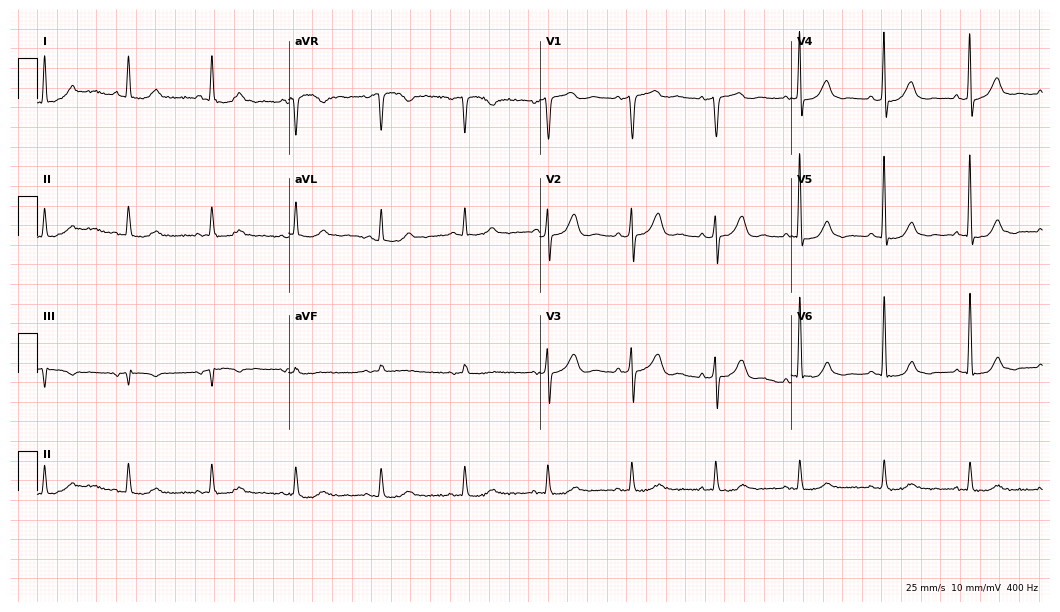
12-lead ECG from an 84-year-old man. Screened for six findings — first-degree AV block, right bundle branch block, left bundle branch block, sinus bradycardia, atrial fibrillation, sinus tachycardia — none is recorded.